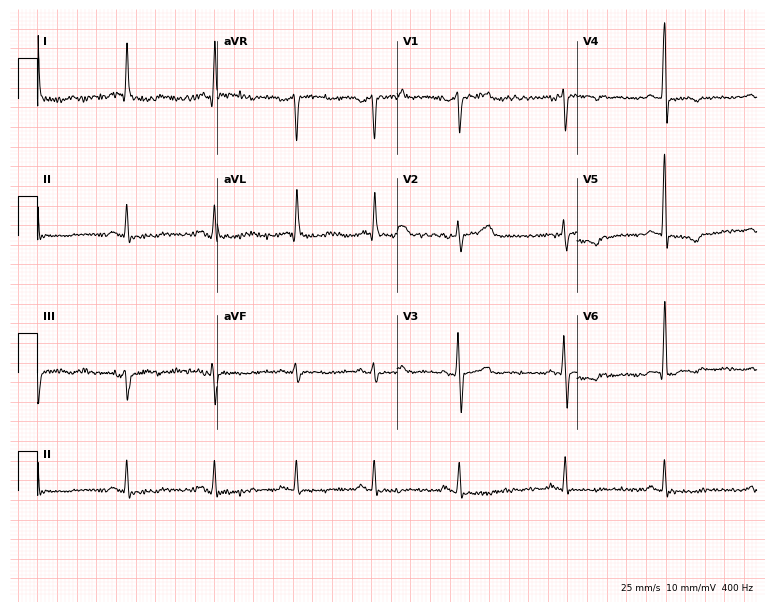
Resting 12-lead electrocardiogram. Patient: a 61-year-old male. None of these six findings is recorded: first-degree AV block, right bundle branch block, left bundle branch block, sinus bradycardia, atrial fibrillation, sinus tachycardia. Findings outside these six are not listed.